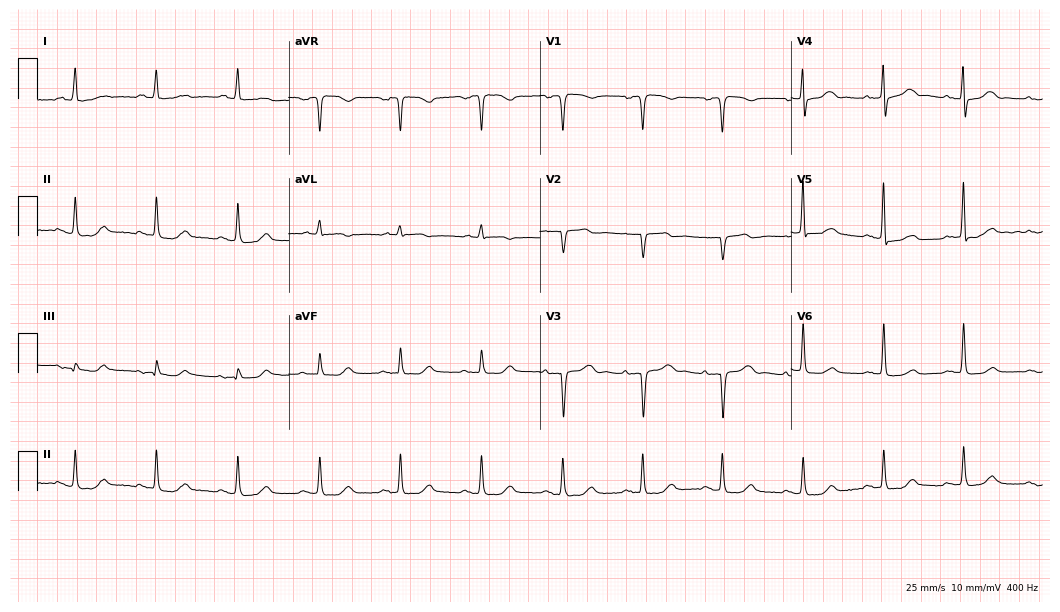
12-lead ECG from a 75-year-old female. Screened for six findings — first-degree AV block, right bundle branch block, left bundle branch block, sinus bradycardia, atrial fibrillation, sinus tachycardia — none is recorded. Findings outside these six are not listed.